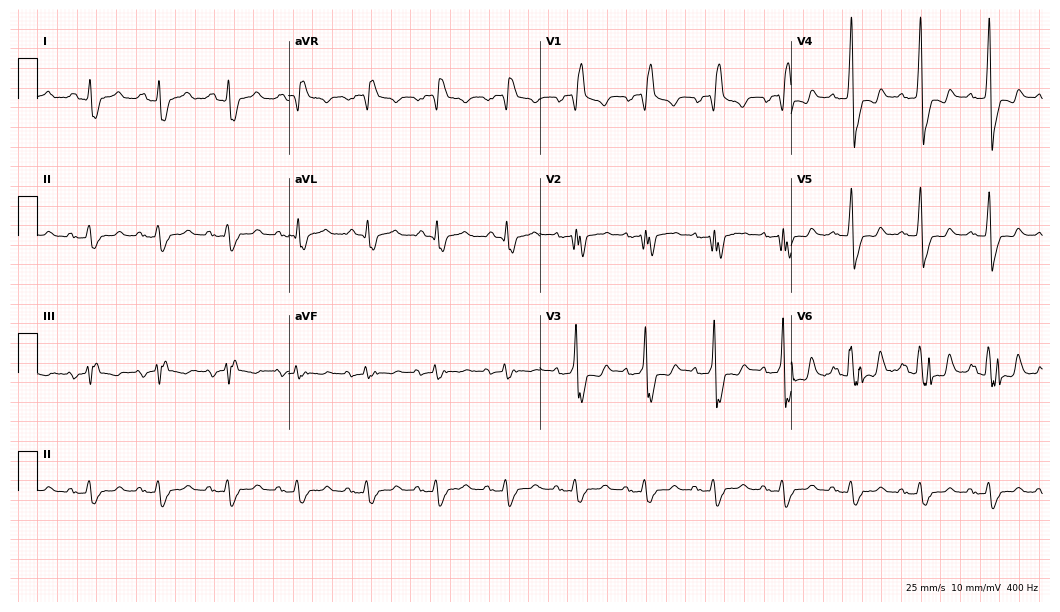
12-lead ECG (10.2-second recording at 400 Hz) from a male patient, 60 years old. Findings include right bundle branch block.